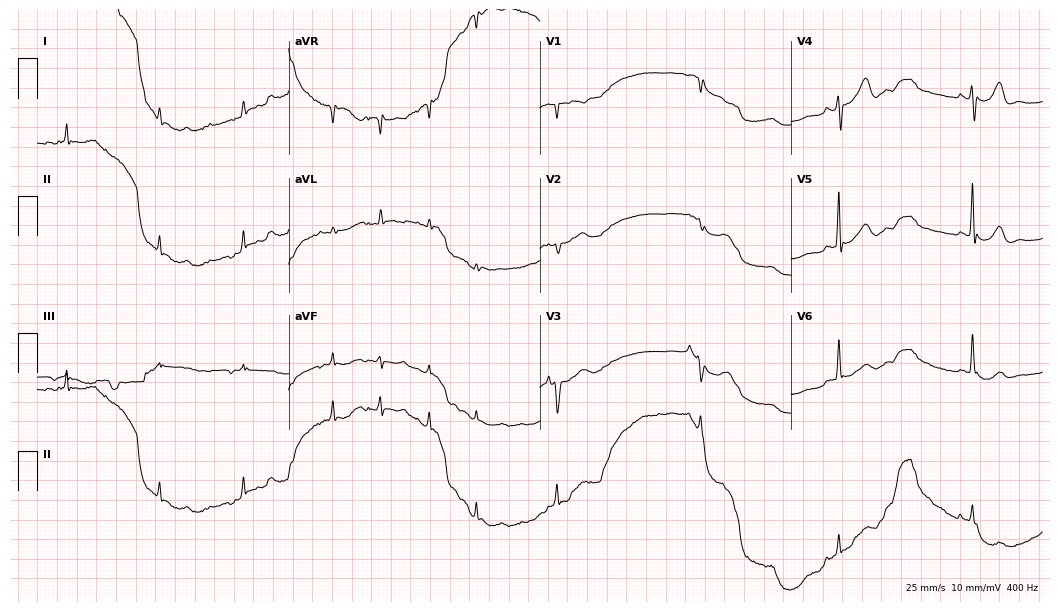
12-lead ECG from a 65-year-old man (10.2-second recording at 400 Hz). No first-degree AV block, right bundle branch block, left bundle branch block, sinus bradycardia, atrial fibrillation or sinus tachycardia recorded for this tracing.